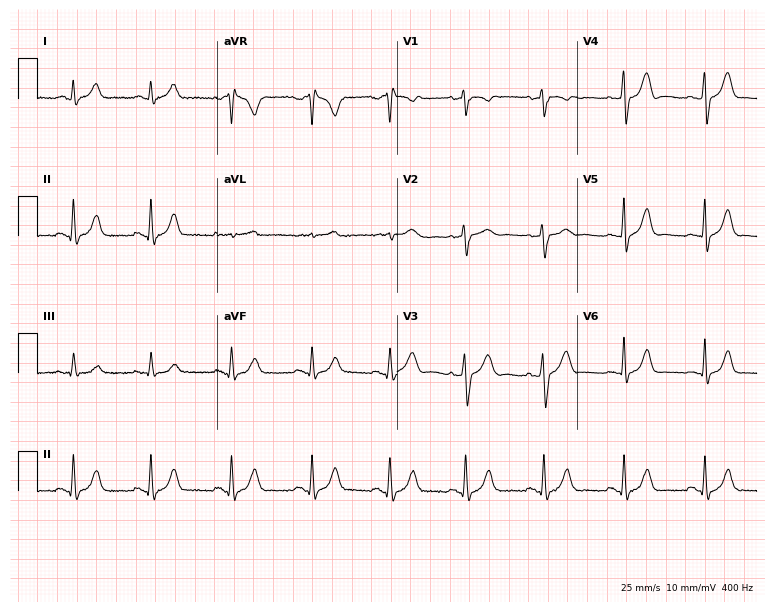
Resting 12-lead electrocardiogram (7.3-second recording at 400 Hz). Patient: a woman, 36 years old. Read as a normal ECG.